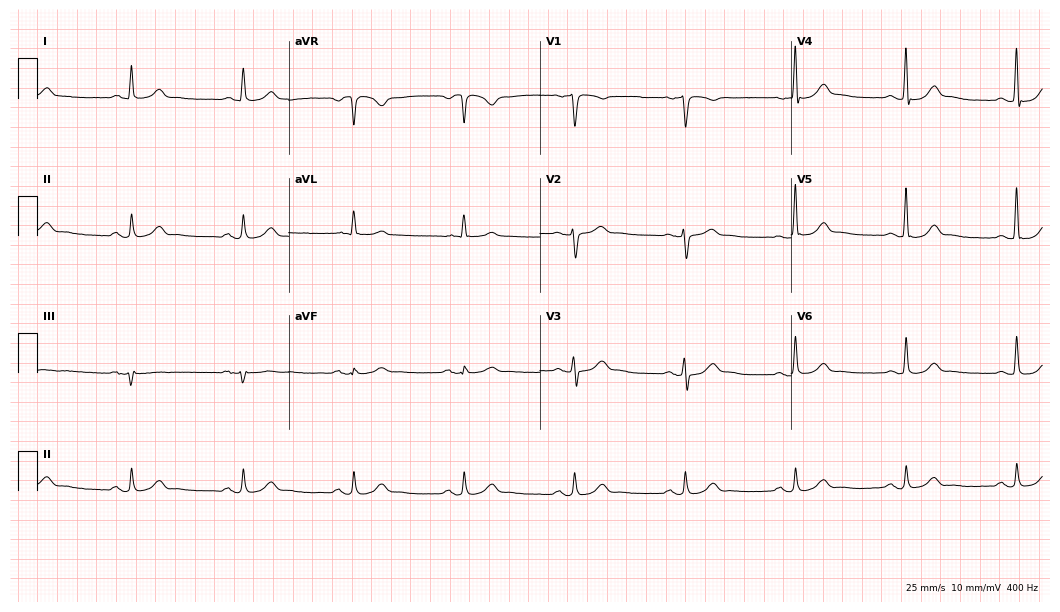
Electrocardiogram, a male, 65 years old. Overall reading on record: normal ECG.